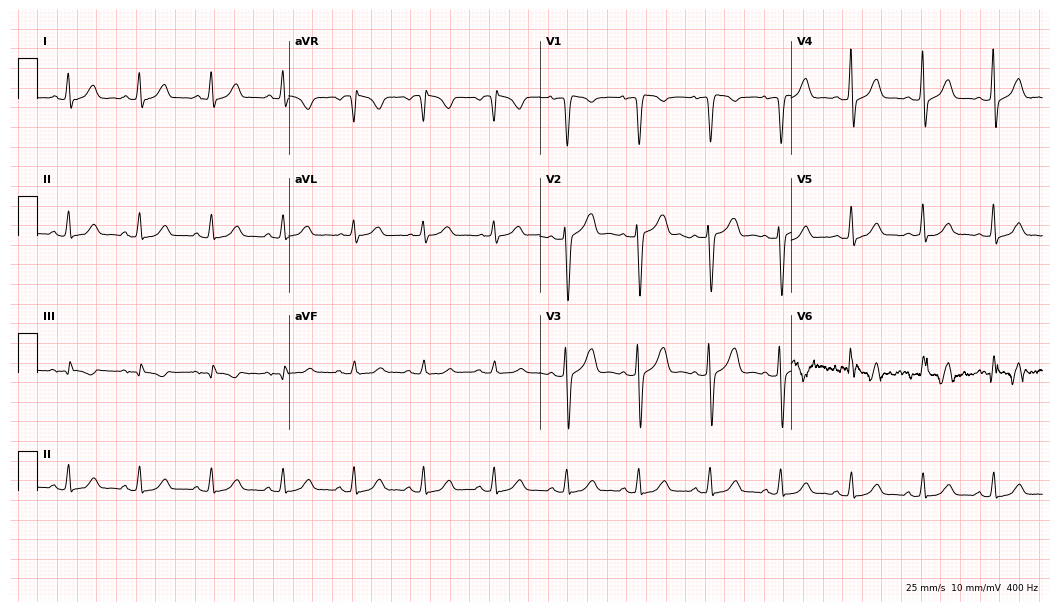
12-lead ECG from a 45-year-old female patient (10.2-second recording at 400 Hz). Recorded interpretation: within normal limits.